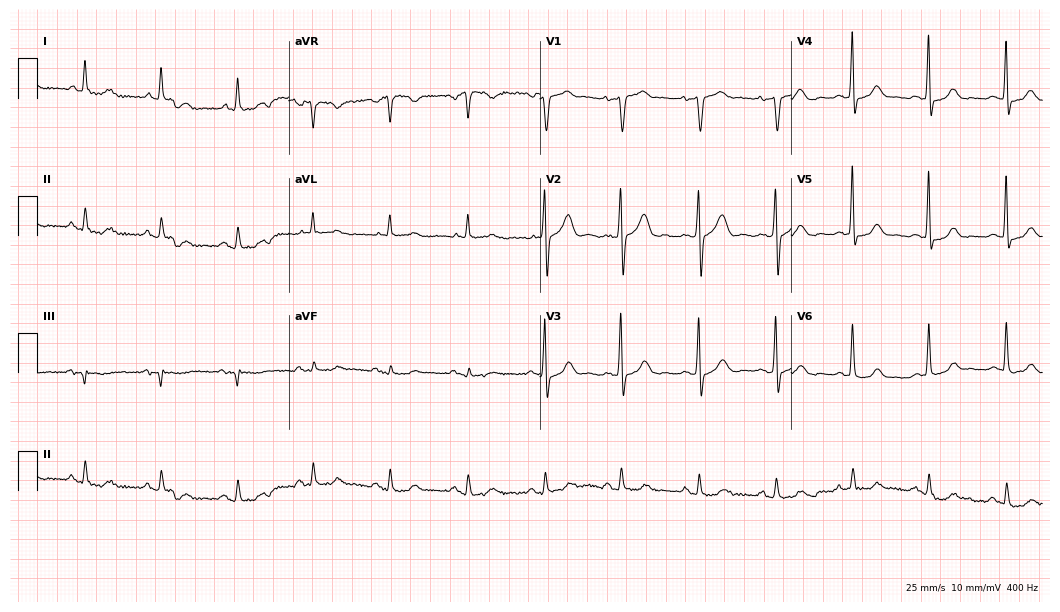
ECG (10.2-second recording at 400 Hz) — a 64-year-old male patient. Labelled as a normal ECG.